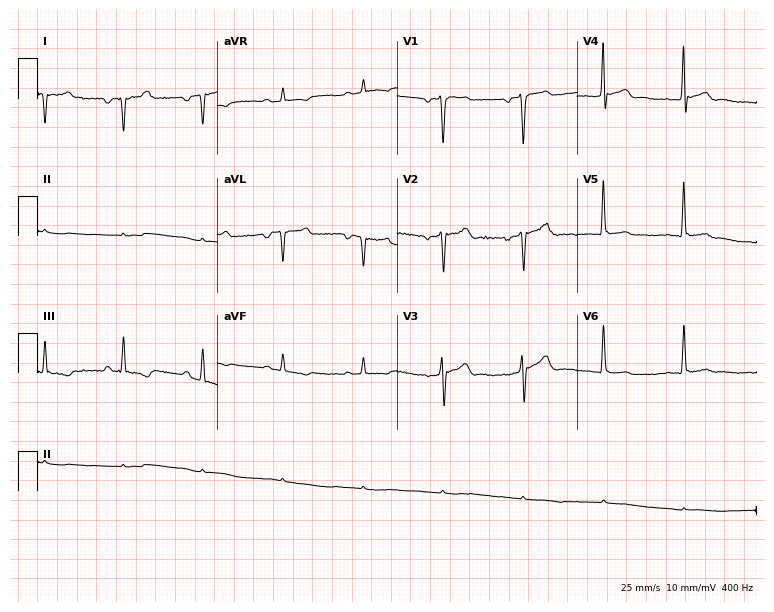
Electrocardiogram (7.3-second recording at 400 Hz), a 60-year-old male patient. Of the six screened findings (first-degree AV block, right bundle branch block (RBBB), left bundle branch block (LBBB), sinus bradycardia, atrial fibrillation (AF), sinus tachycardia), none is recorded.